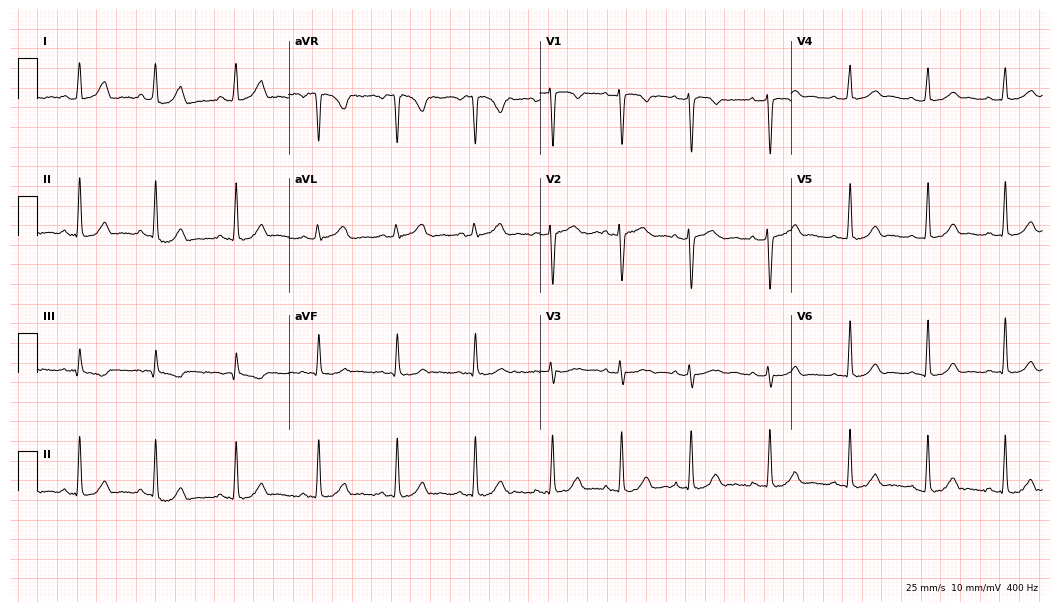
Standard 12-lead ECG recorded from a female, 25 years old (10.2-second recording at 400 Hz). Read as a normal ECG.